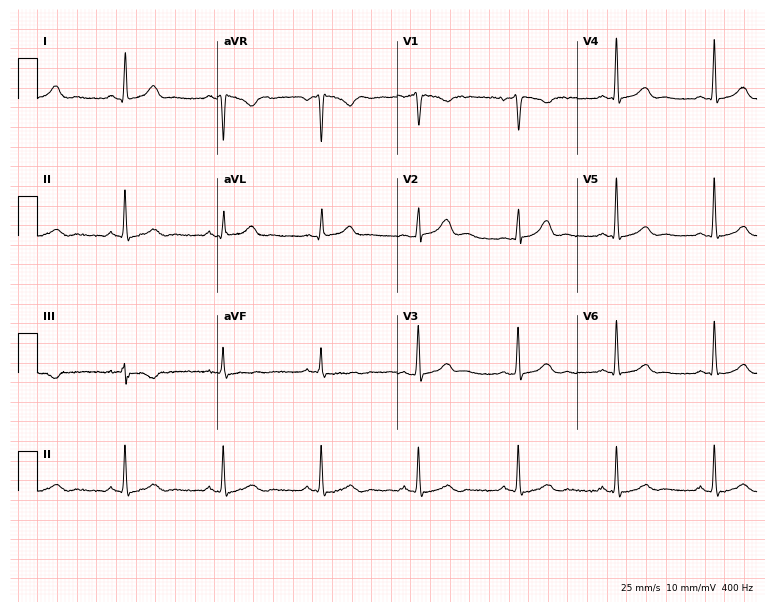
Standard 12-lead ECG recorded from a female patient, 48 years old. None of these six findings is recorded: first-degree AV block, right bundle branch block, left bundle branch block, sinus bradycardia, atrial fibrillation, sinus tachycardia.